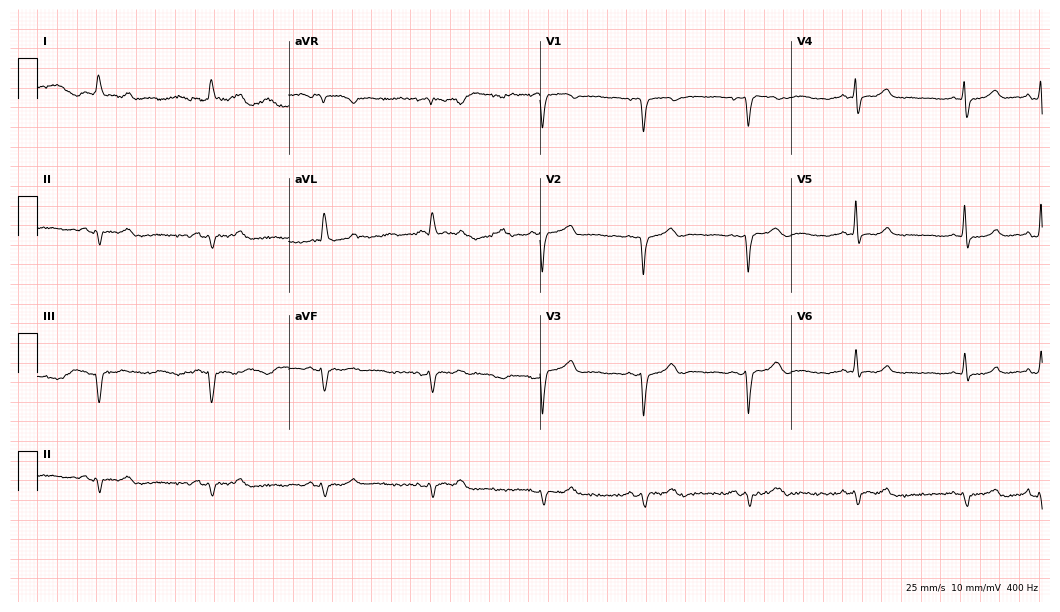
12-lead ECG from a 74-year-old man (10.2-second recording at 400 Hz). No first-degree AV block, right bundle branch block (RBBB), left bundle branch block (LBBB), sinus bradycardia, atrial fibrillation (AF) or sinus tachycardia recorded for this tracing.